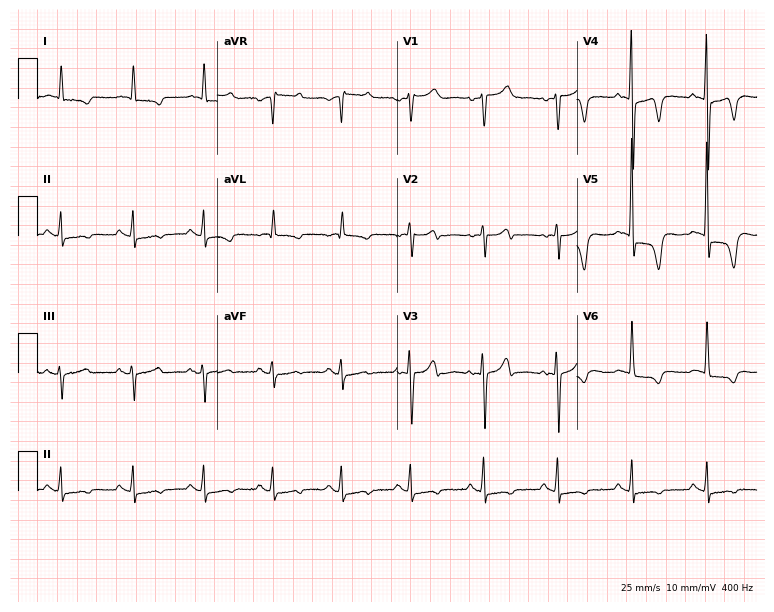
Resting 12-lead electrocardiogram. Patient: a woman, 68 years old. None of these six findings is recorded: first-degree AV block, right bundle branch block, left bundle branch block, sinus bradycardia, atrial fibrillation, sinus tachycardia. Findings outside these six are not listed.